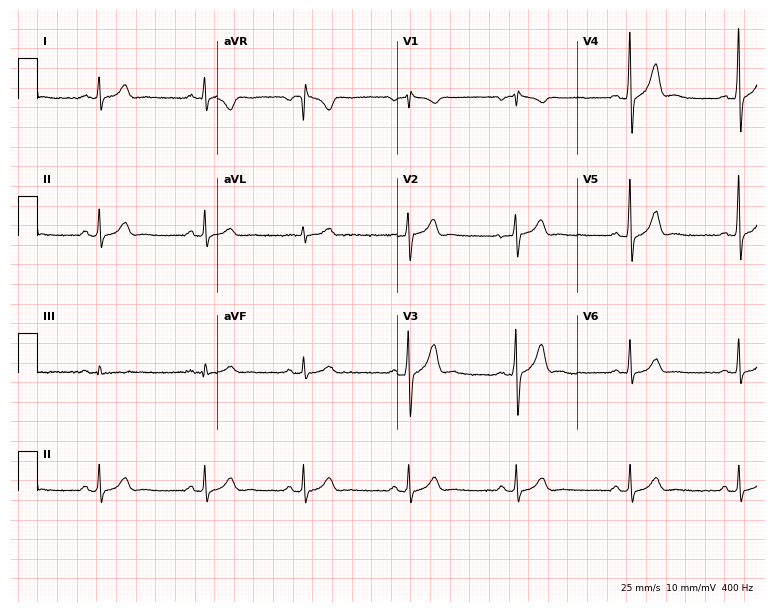
Resting 12-lead electrocardiogram (7.3-second recording at 400 Hz). Patient: a 39-year-old male. None of these six findings is recorded: first-degree AV block, right bundle branch block, left bundle branch block, sinus bradycardia, atrial fibrillation, sinus tachycardia.